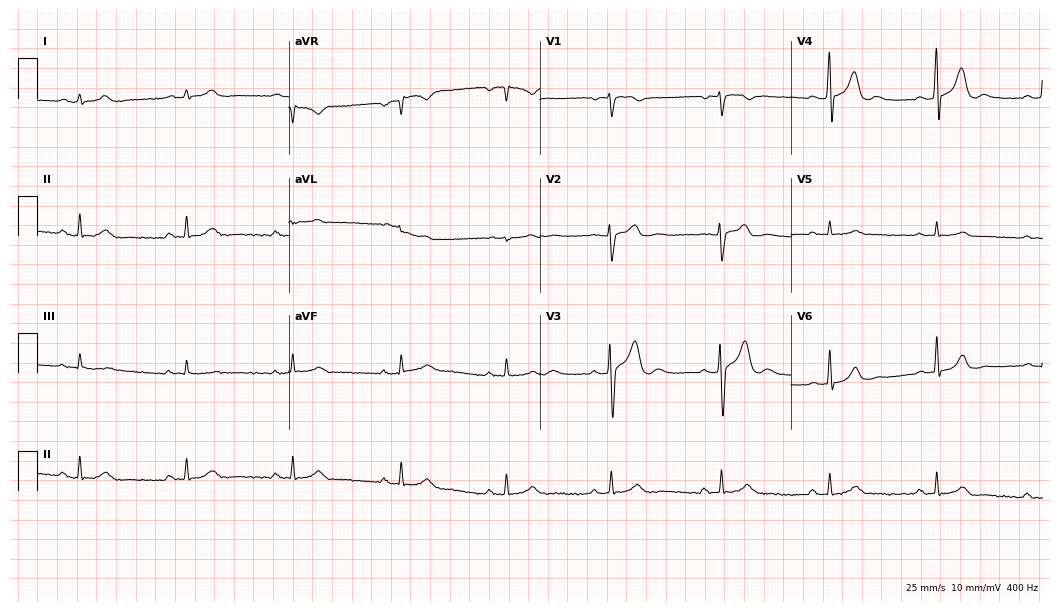
ECG — a 45-year-old man. Screened for six findings — first-degree AV block, right bundle branch block, left bundle branch block, sinus bradycardia, atrial fibrillation, sinus tachycardia — none is recorded. Only these six findings were labelled.